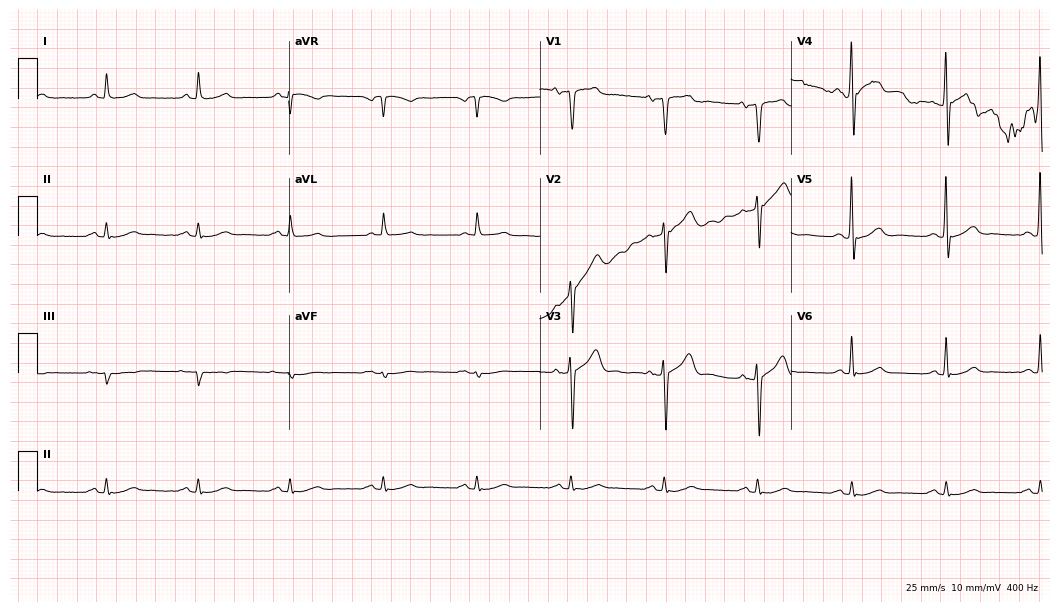
Electrocardiogram, a 70-year-old male. Overall reading on record: normal ECG.